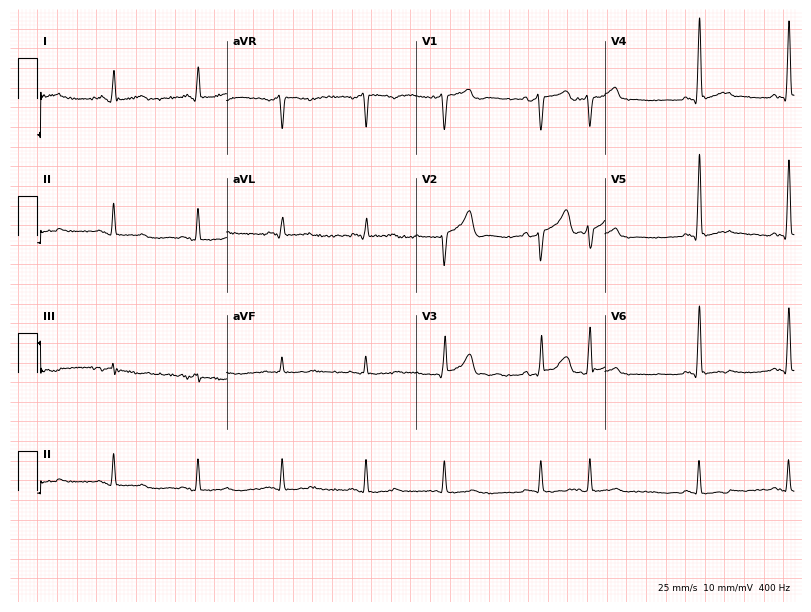
Electrocardiogram (7.7-second recording at 400 Hz), a male patient, 53 years old. Of the six screened findings (first-degree AV block, right bundle branch block, left bundle branch block, sinus bradycardia, atrial fibrillation, sinus tachycardia), none is recorded.